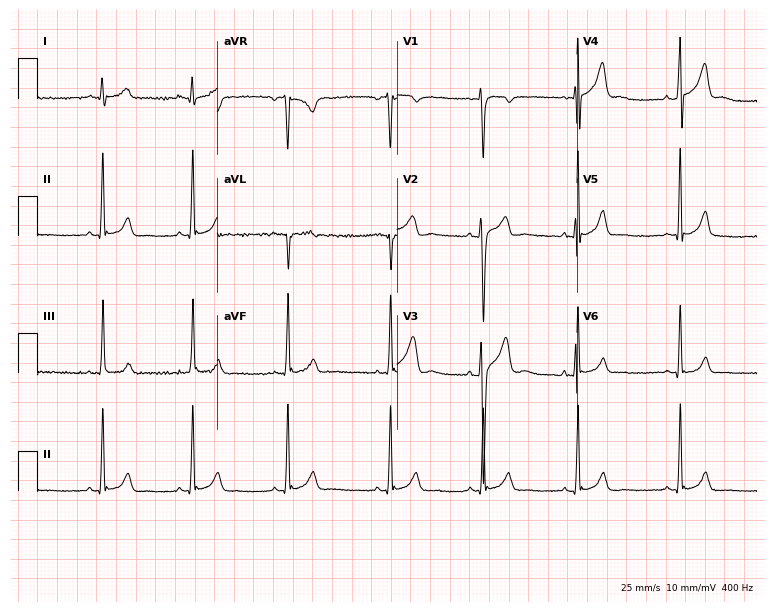
12-lead ECG from a male, 18 years old. Labelled as a normal ECG.